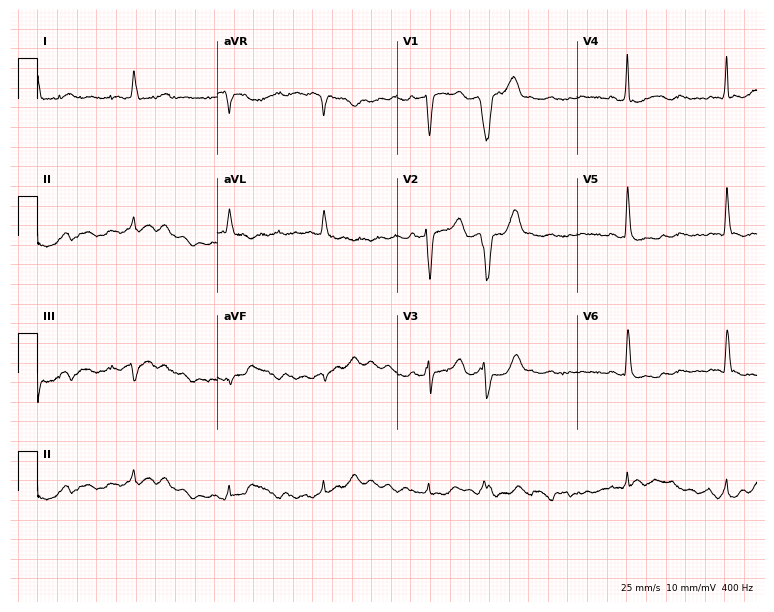
ECG — a female patient, 72 years old. Screened for six findings — first-degree AV block, right bundle branch block (RBBB), left bundle branch block (LBBB), sinus bradycardia, atrial fibrillation (AF), sinus tachycardia — none is recorded. Other findings, if any, are not listed.